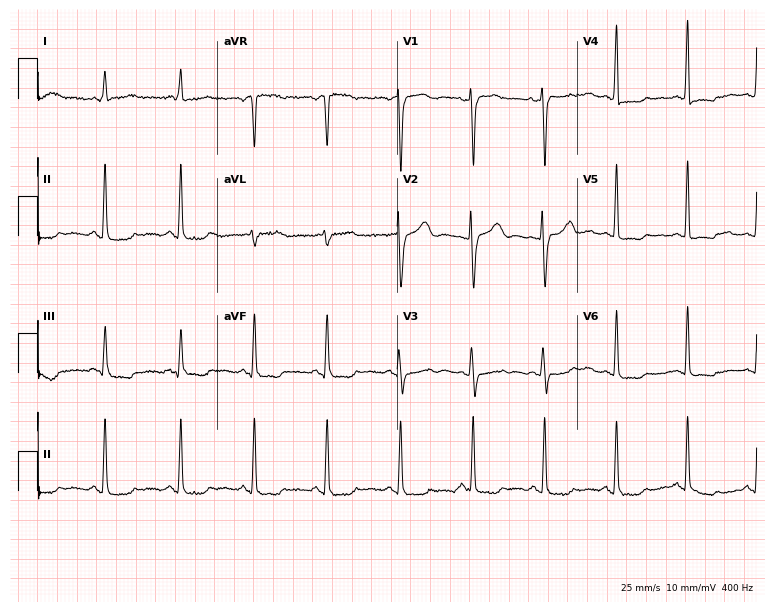
12-lead ECG from a 58-year-old female patient. No first-degree AV block, right bundle branch block (RBBB), left bundle branch block (LBBB), sinus bradycardia, atrial fibrillation (AF) or sinus tachycardia recorded for this tracing. Only these six findings were labelled.